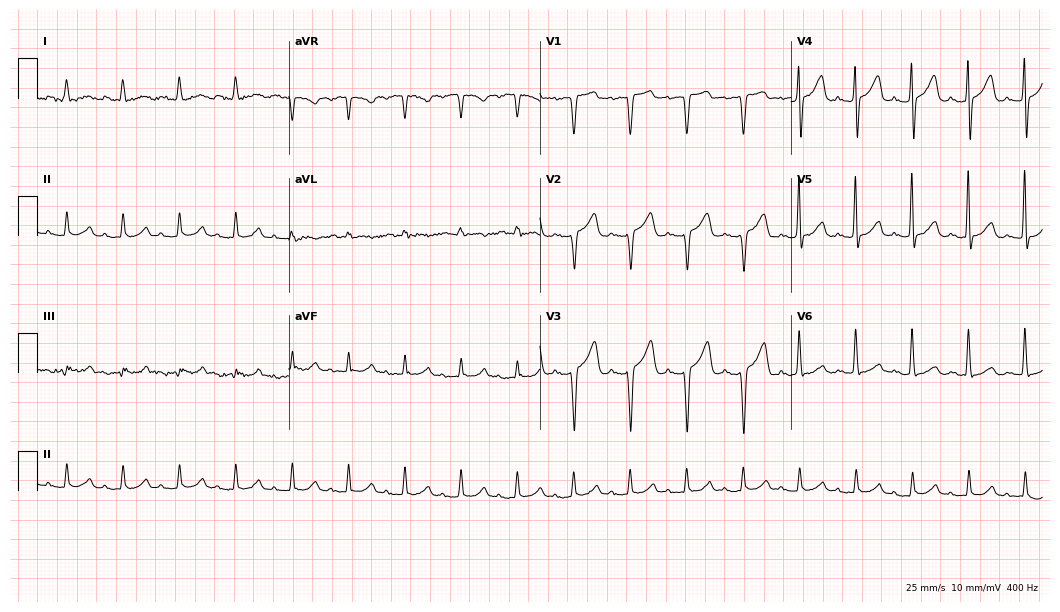
12-lead ECG from a 78-year-old female patient. Shows sinus tachycardia (a sinus rate of 100 beats per minute or more).